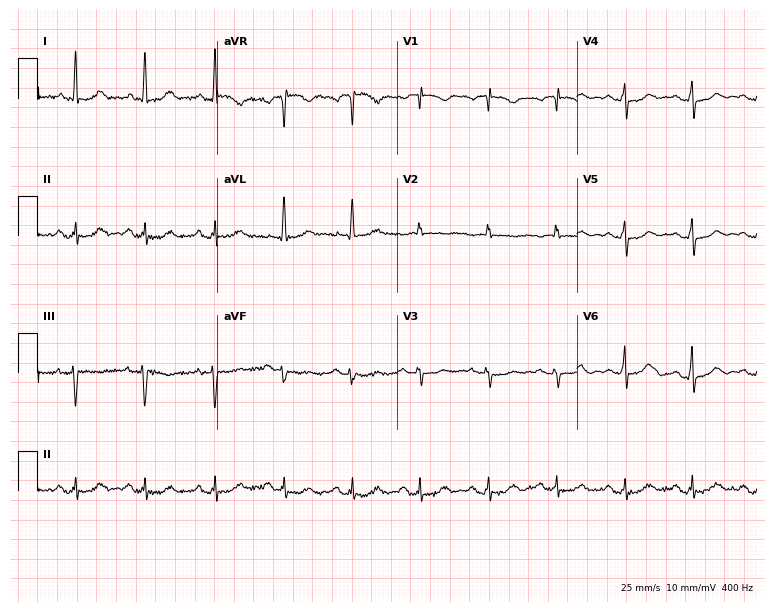
Standard 12-lead ECG recorded from a 70-year-old female patient (7.3-second recording at 400 Hz). None of these six findings is recorded: first-degree AV block, right bundle branch block, left bundle branch block, sinus bradycardia, atrial fibrillation, sinus tachycardia.